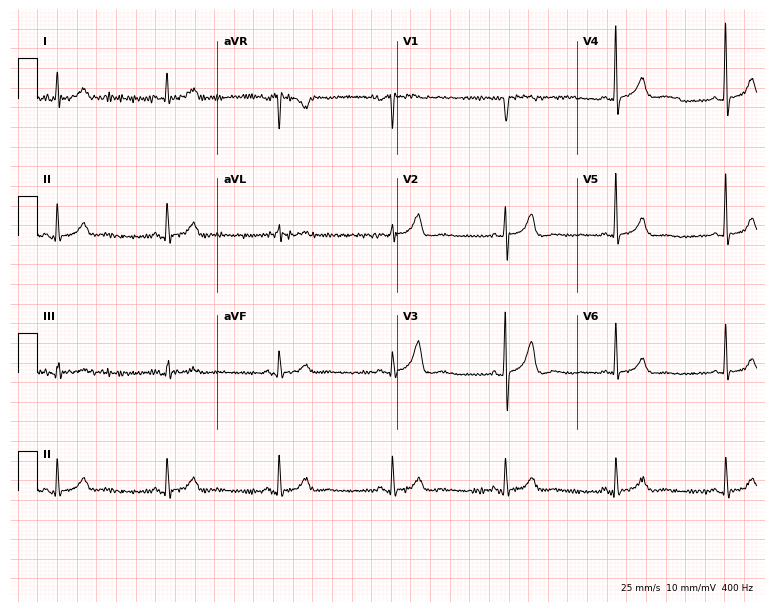
12-lead ECG (7.3-second recording at 400 Hz) from a 75-year-old male patient. Labelled as a normal ECG.